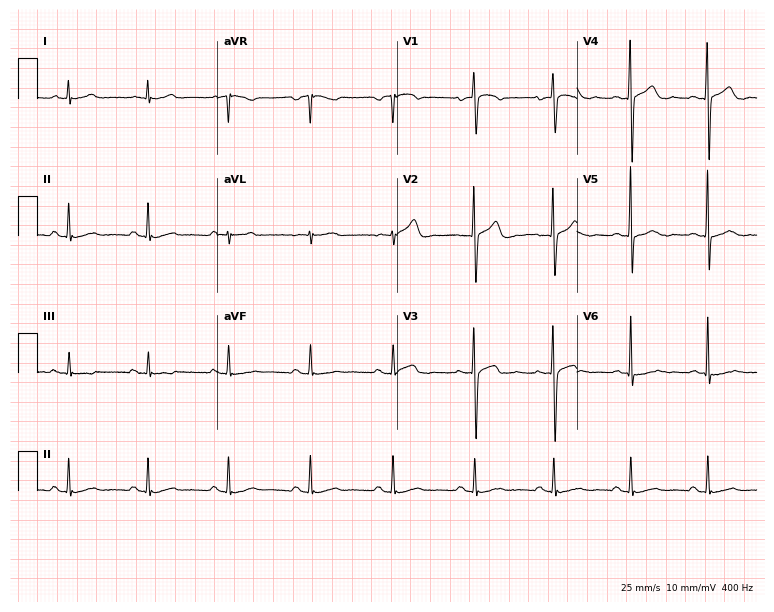
Standard 12-lead ECG recorded from a man, 37 years old. None of these six findings is recorded: first-degree AV block, right bundle branch block, left bundle branch block, sinus bradycardia, atrial fibrillation, sinus tachycardia. Findings outside these six are not listed.